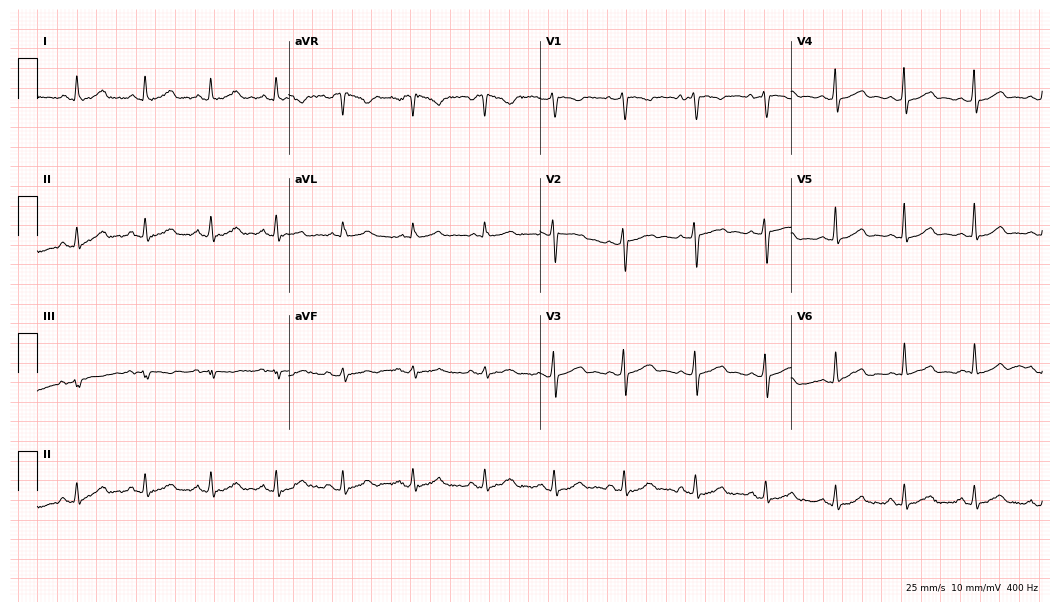
Electrocardiogram, a 41-year-old female patient. Of the six screened findings (first-degree AV block, right bundle branch block, left bundle branch block, sinus bradycardia, atrial fibrillation, sinus tachycardia), none is recorded. Other findings, if any, are not listed.